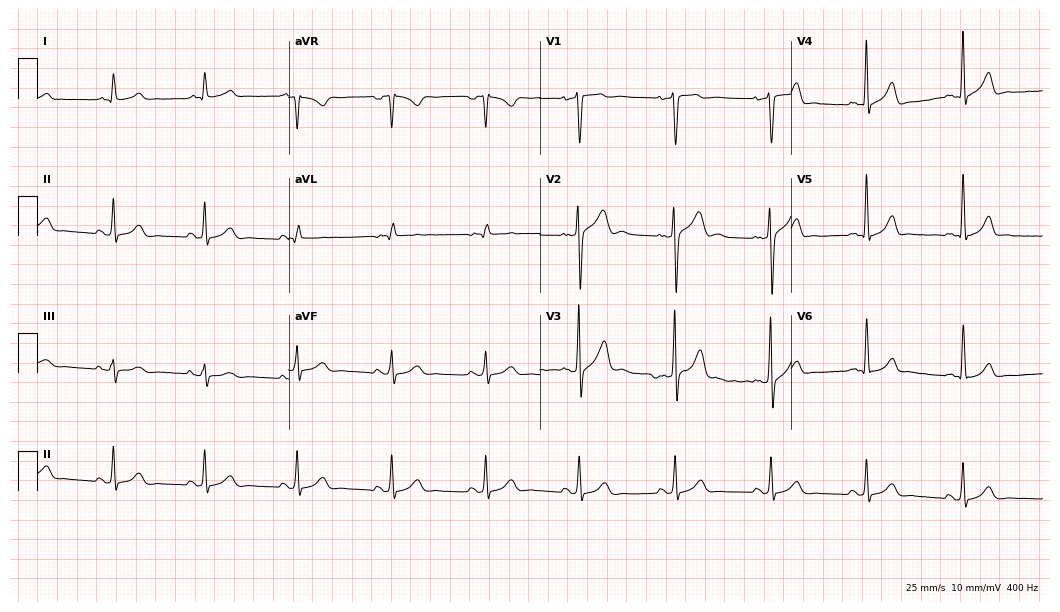
12-lead ECG from a male patient, 31 years old. Screened for six findings — first-degree AV block, right bundle branch block, left bundle branch block, sinus bradycardia, atrial fibrillation, sinus tachycardia — none is recorded.